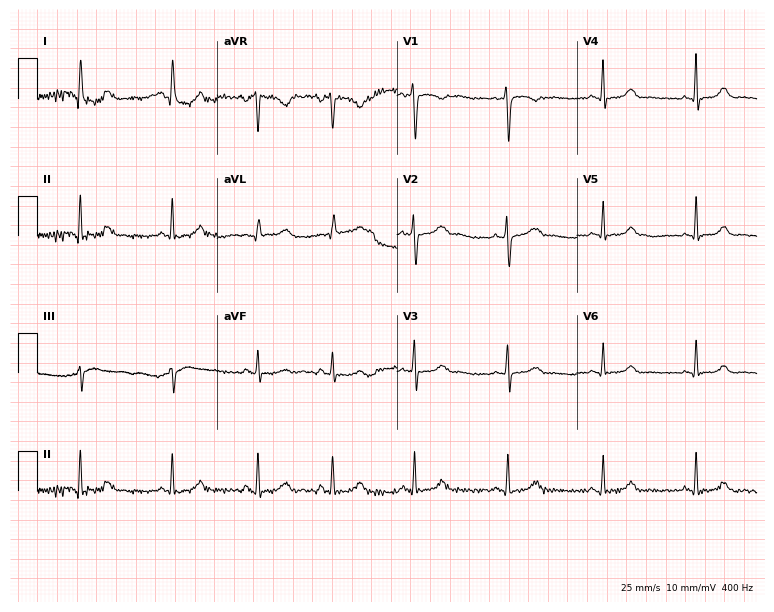
ECG (7.3-second recording at 400 Hz) — a 36-year-old female patient. Labelled as a normal ECG.